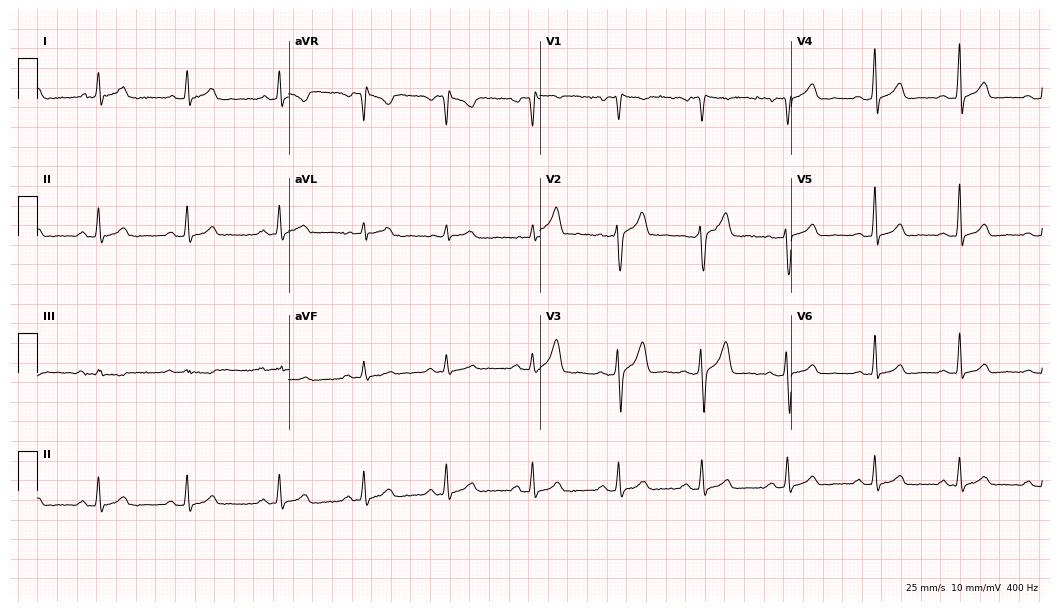
ECG — a 33-year-old male. Labelled as a normal ECG.